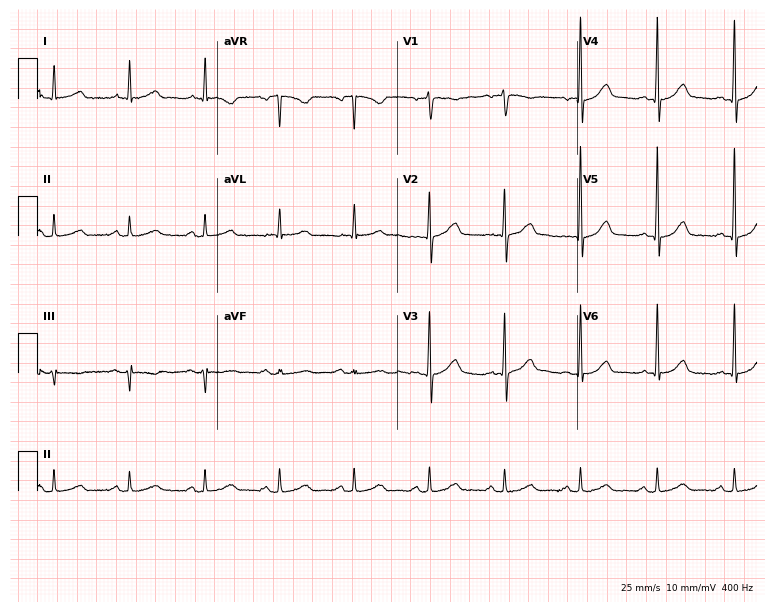
Electrocardiogram (7.3-second recording at 400 Hz), a 65-year-old man. Overall reading on record: normal ECG.